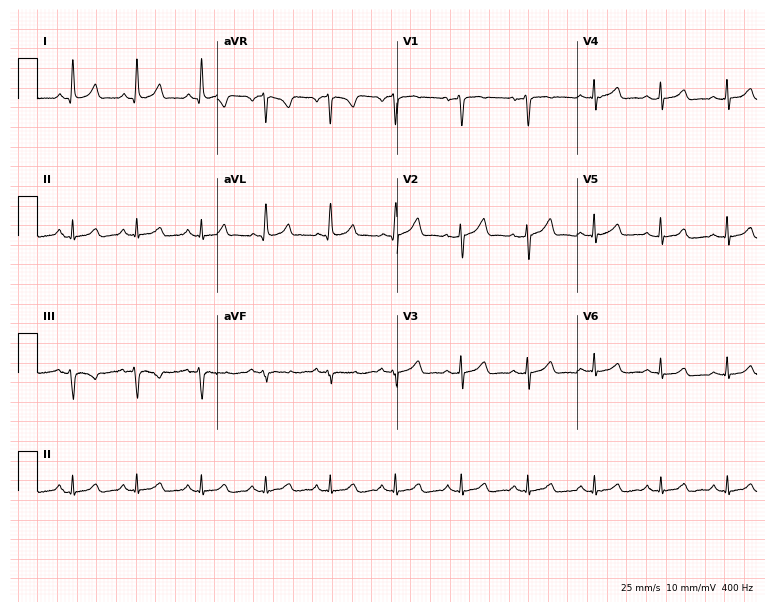
ECG — a 55-year-old female patient. Labelled as a normal ECG.